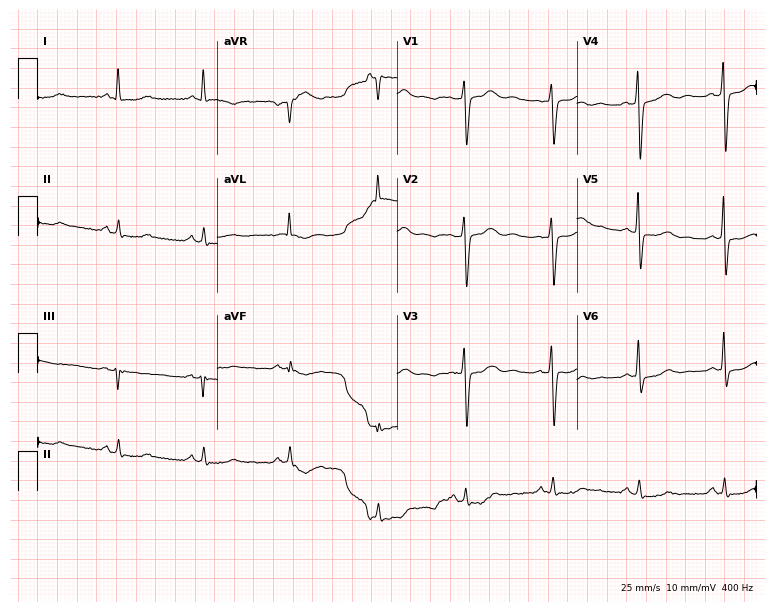
ECG (7.3-second recording at 400 Hz) — a 69-year-old male. Screened for six findings — first-degree AV block, right bundle branch block, left bundle branch block, sinus bradycardia, atrial fibrillation, sinus tachycardia — none is recorded. Findings outside these six are not listed.